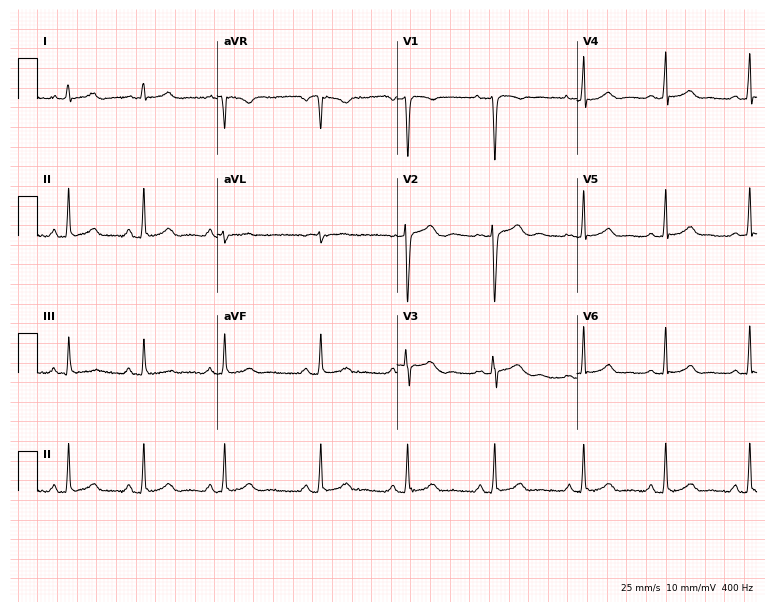
Standard 12-lead ECG recorded from a 20-year-old female patient (7.3-second recording at 400 Hz). Read as a normal ECG.